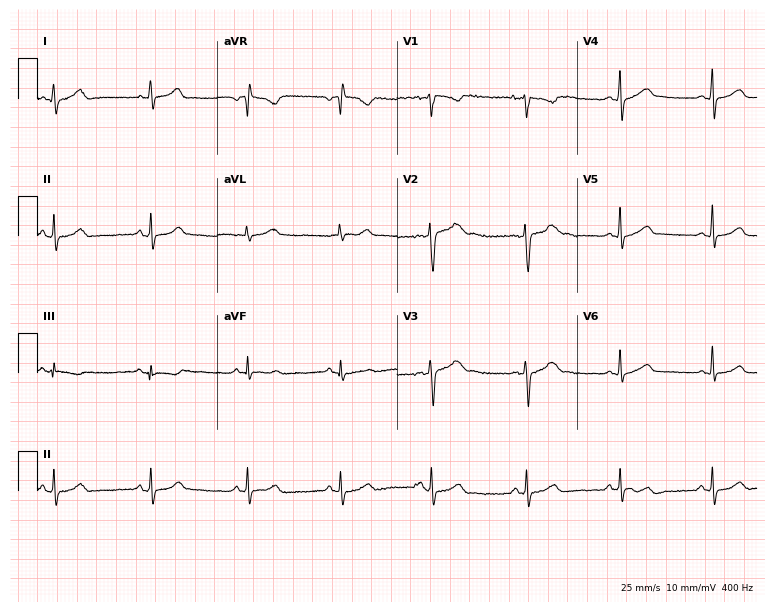
Resting 12-lead electrocardiogram. Patient: a 26-year-old female. Read as a normal ECG.